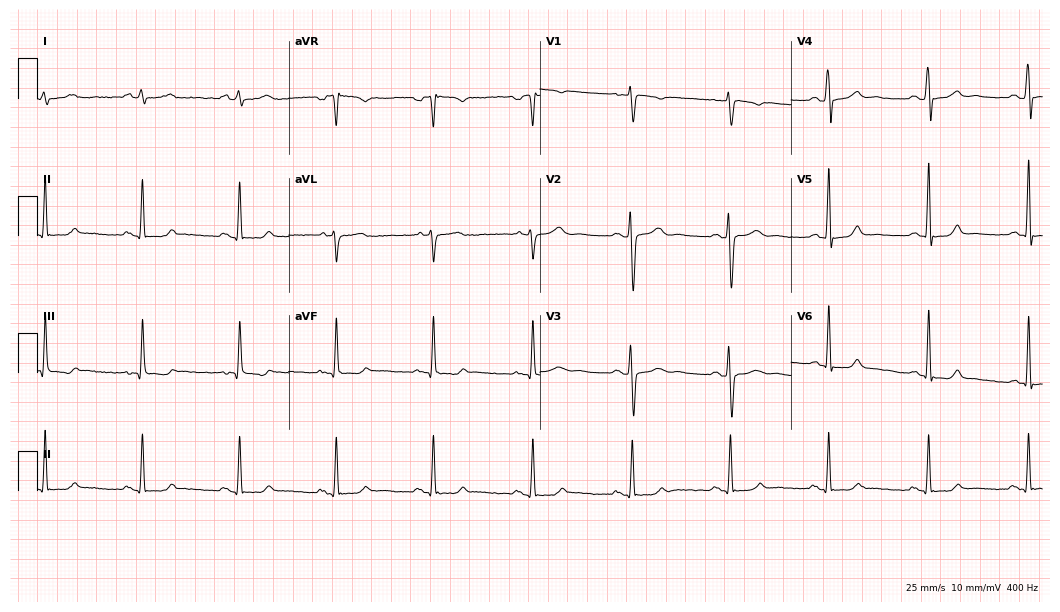
12-lead ECG from a female, 23 years old (10.2-second recording at 400 Hz). No first-degree AV block, right bundle branch block (RBBB), left bundle branch block (LBBB), sinus bradycardia, atrial fibrillation (AF) or sinus tachycardia recorded for this tracing. Other findings, if any, are not listed.